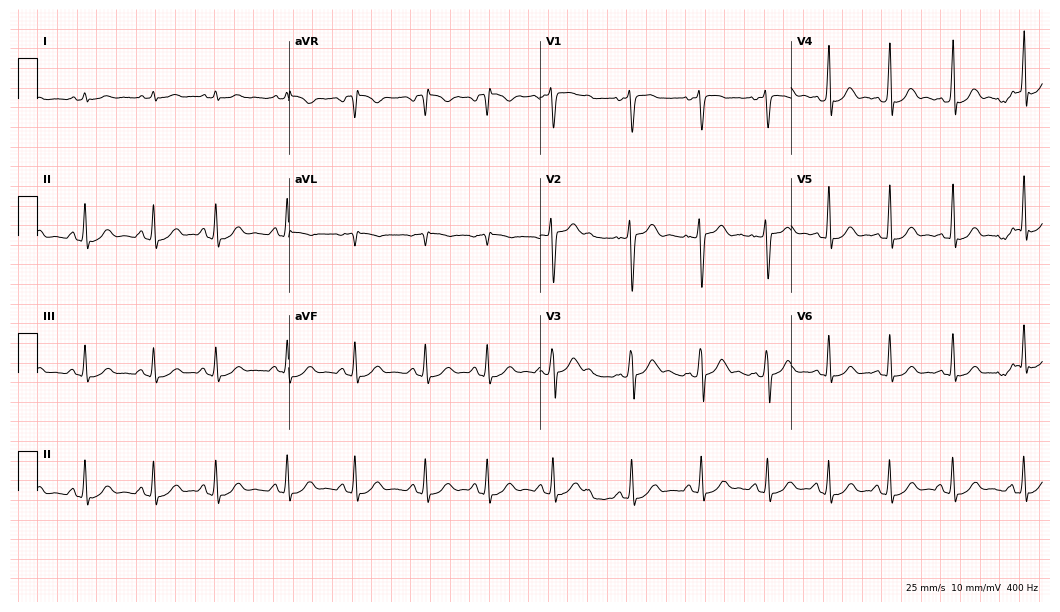
Resting 12-lead electrocardiogram. Patient: an 18-year-old male. None of these six findings is recorded: first-degree AV block, right bundle branch block, left bundle branch block, sinus bradycardia, atrial fibrillation, sinus tachycardia. Findings outside these six are not listed.